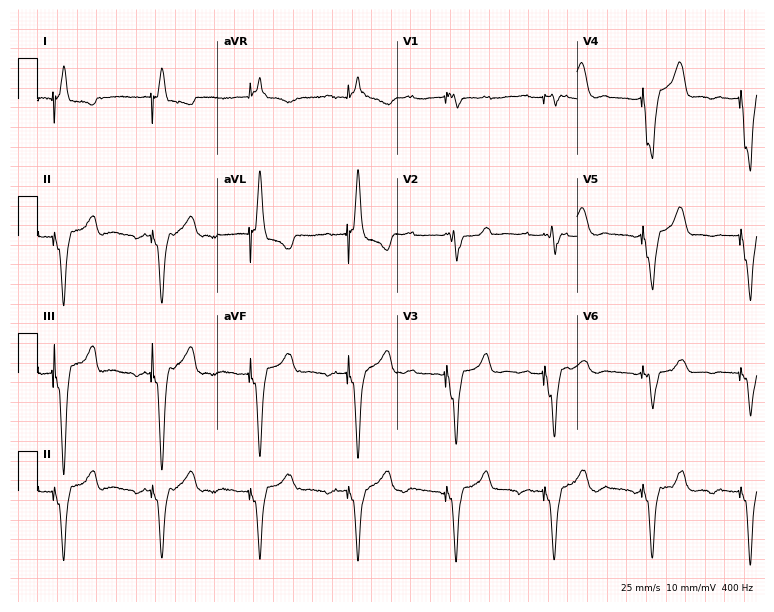
Standard 12-lead ECG recorded from a female patient, 73 years old. None of these six findings is recorded: first-degree AV block, right bundle branch block (RBBB), left bundle branch block (LBBB), sinus bradycardia, atrial fibrillation (AF), sinus tachycardia. Findings outside these six are not listed.